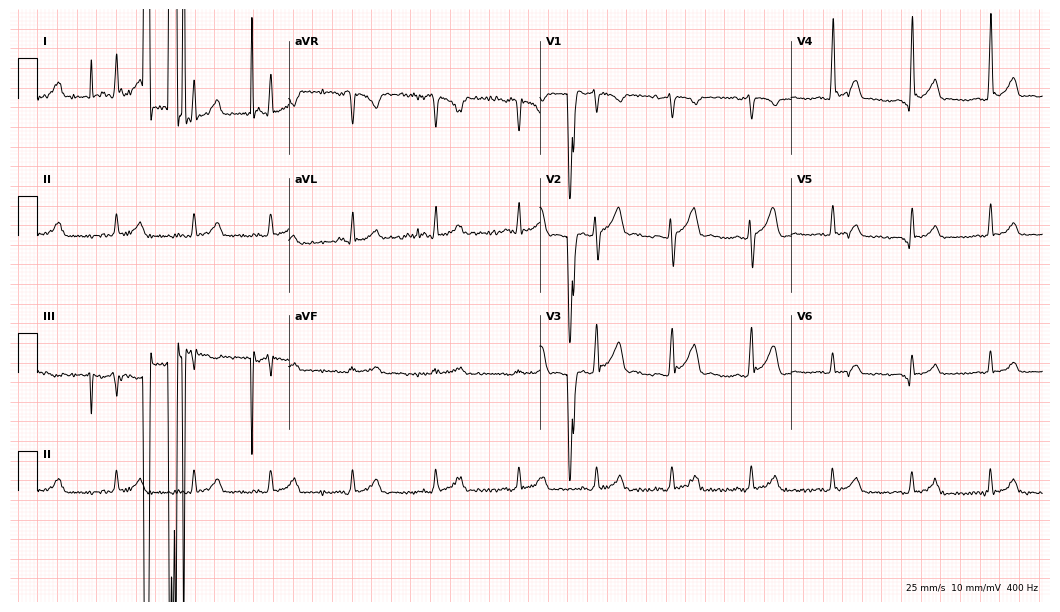
12-lead ECG (10.2-second recording at 400 Hz) from a 30-year-old male. Screened for six findings — first-degree AV block, right bundle branch block (RBBB), left bundle branch block (LBBB), sinus bradycardia, atrial fibrillation (AF), sinus tachycardia — none is recorded.